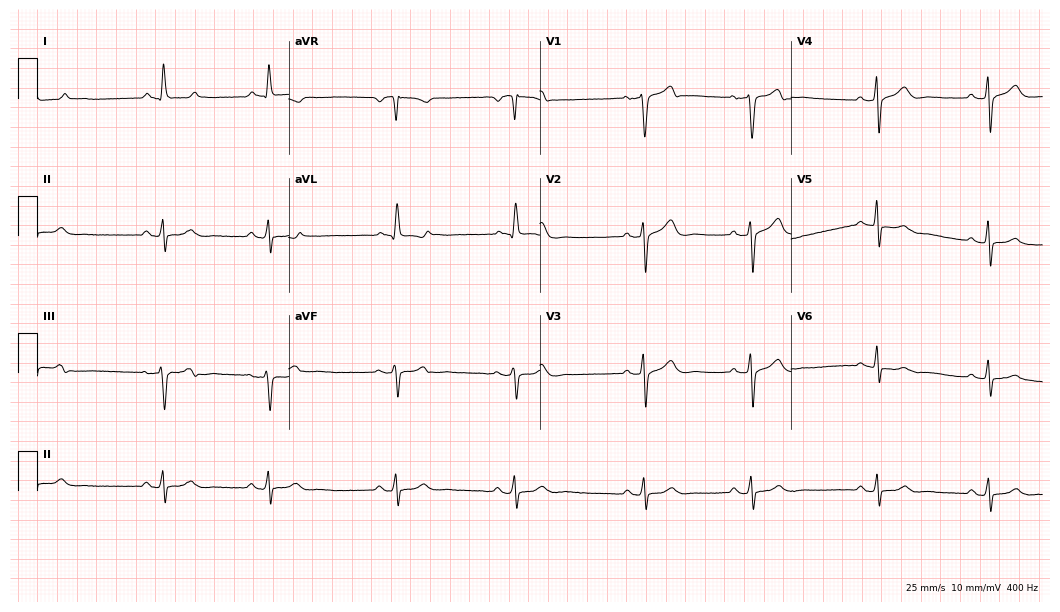
12-lead ECG (10.2-second recording at 400 Hz) from a 67-year-old man. Labelled as a normal ECG.